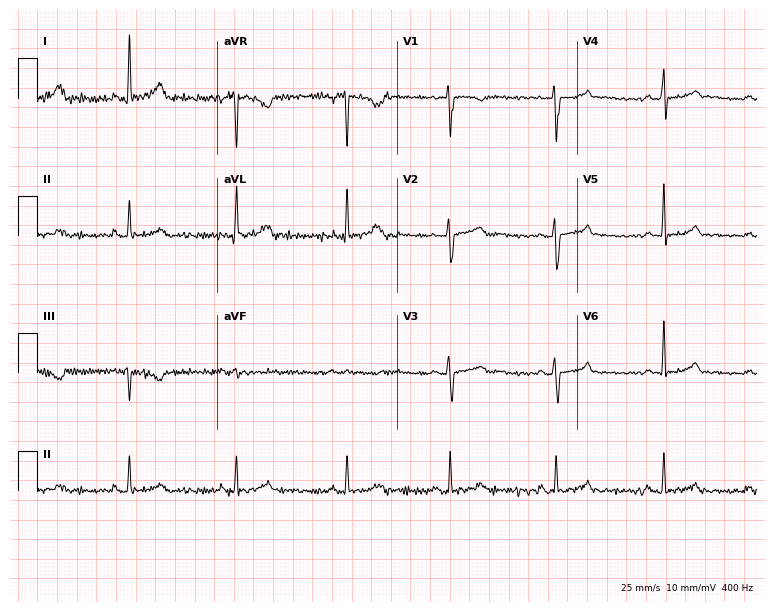
Standard 12-lead ECG recorded from a female, 45 years old (7.3-second recording at 400 Hz). Read as a normal ECG.